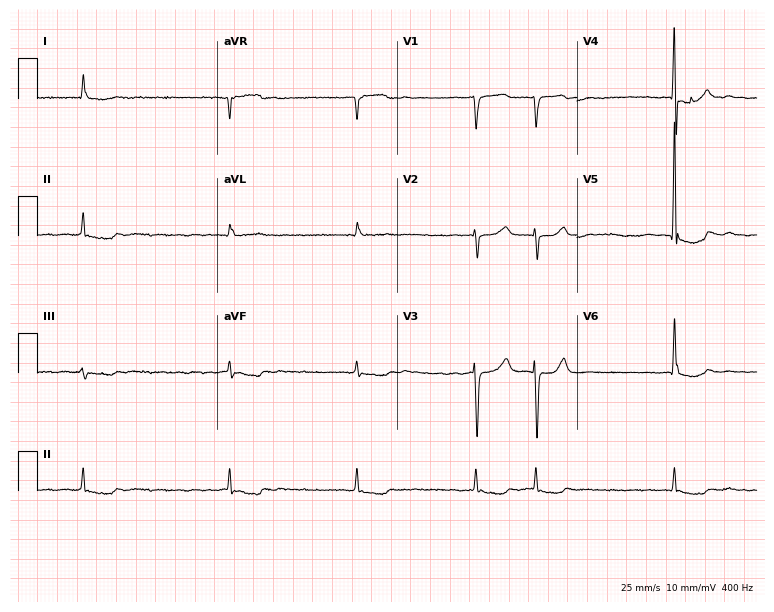
12-lead ECG from an 80-year-old male. Screened for six findings — first-degree AV block, right bundle branch block, left bundle branch block, sinus bradycardia, atrial fibrillation, sinus tachycardia — none is recorded. Other findings, if any, are not listed.